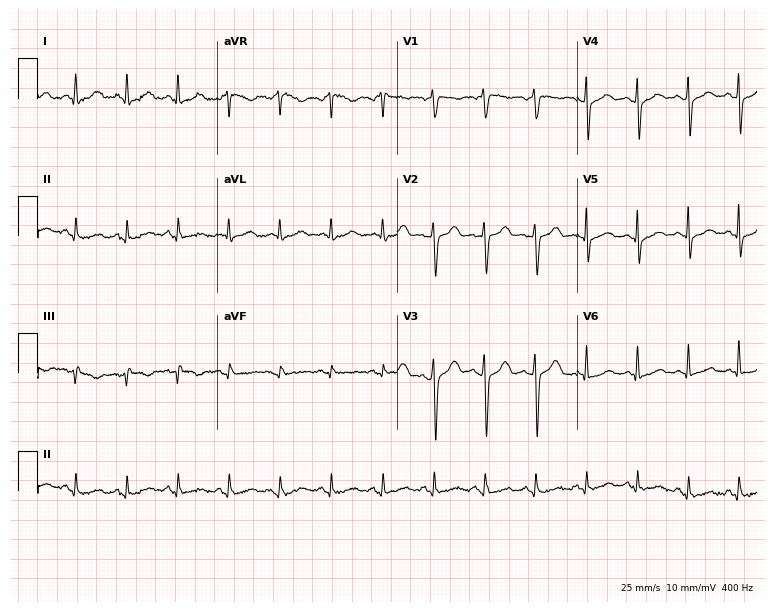
ECG (7.3-second recording at 400 Hz) — a 46-year-old female. Findings include sinus tachycardia (a sinus rate of 100 beats per minute or more).